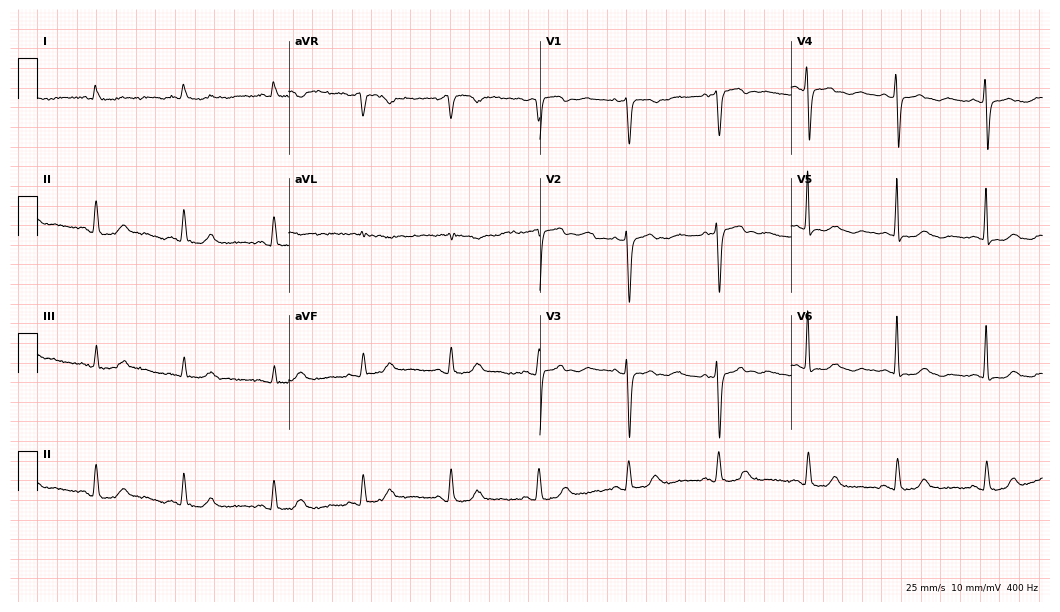
Electrocardiogram (10.2-second recording at 400 Hz), a woman, 75 years old. Of the six screened findings (first-degree AV block, right bundle branch block, left bundle branch block, sinus bradycardia, atrial fibrillation, sinus tachycardia), none is recorded.